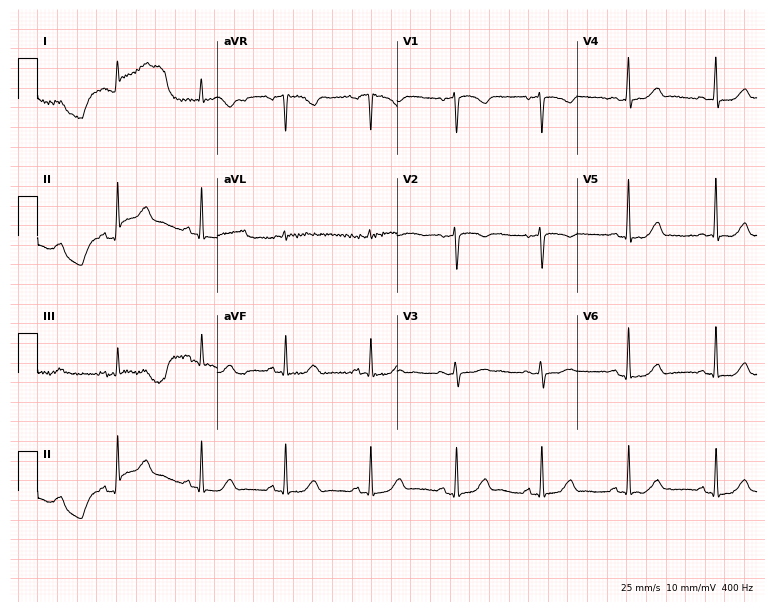
Standard 12-lead ECG recorded from a woman, 64 years old (7.3-second recording at 400 Hz). Read as a normal ECG.